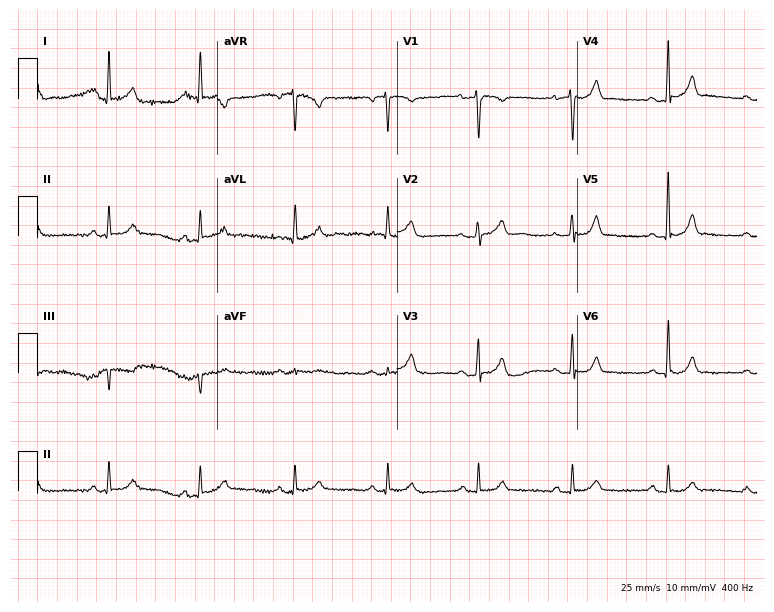
Standard 12-lead ECG recorded from a 77-year-old female patient. Read as a normal ECG.